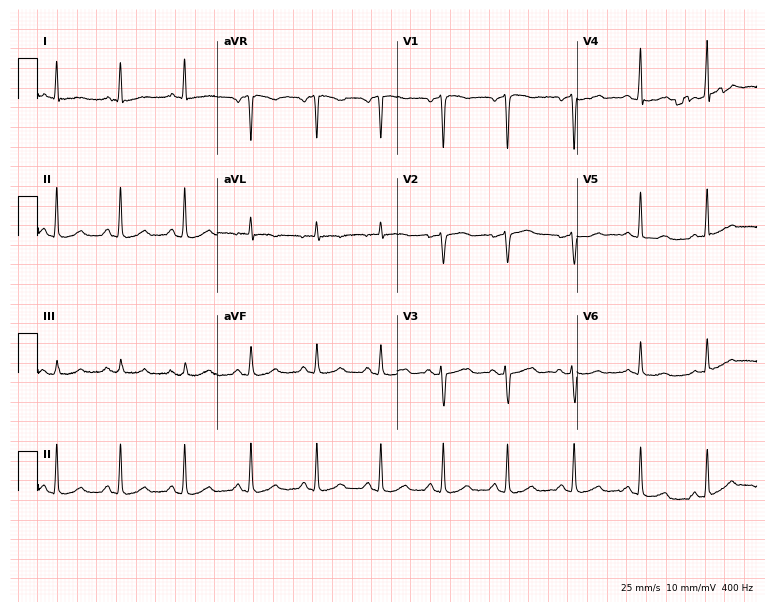
Resting 12-lead electrocardiogram. Patient: a 48-year-old woman. Read as a normal ECG.